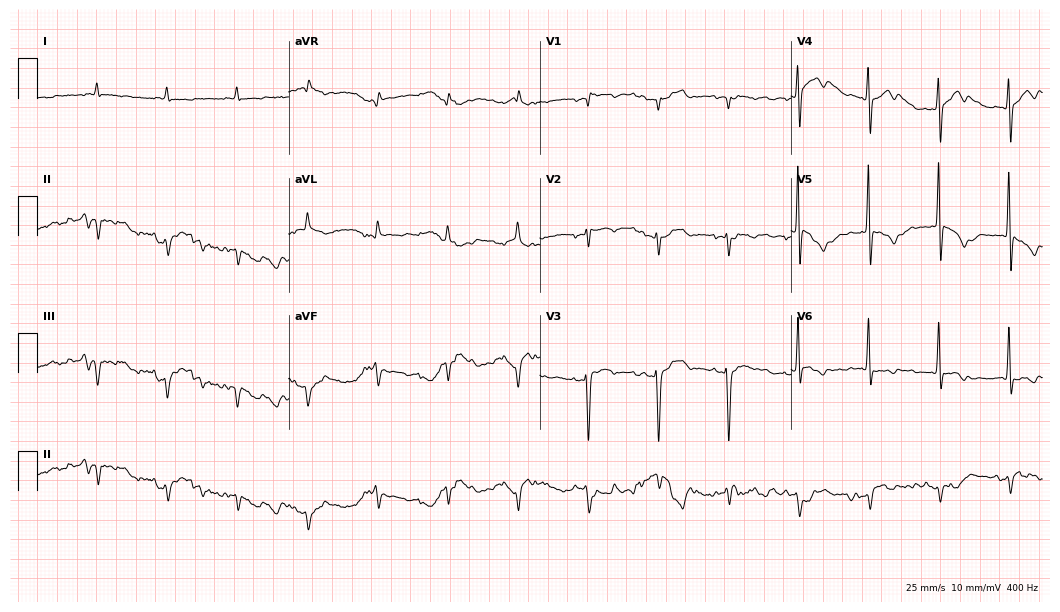
Electrocardiogram (10.2-second recording at 400 Hz), an 81-year-old female patient. Of the six screened findings (first-degree AV block, right bundle branch block (RBBB), left bundle branch block (LBBB), sinus bradycardia, atrial fibrillation (AF), sinus tachycardia), none is recorded.